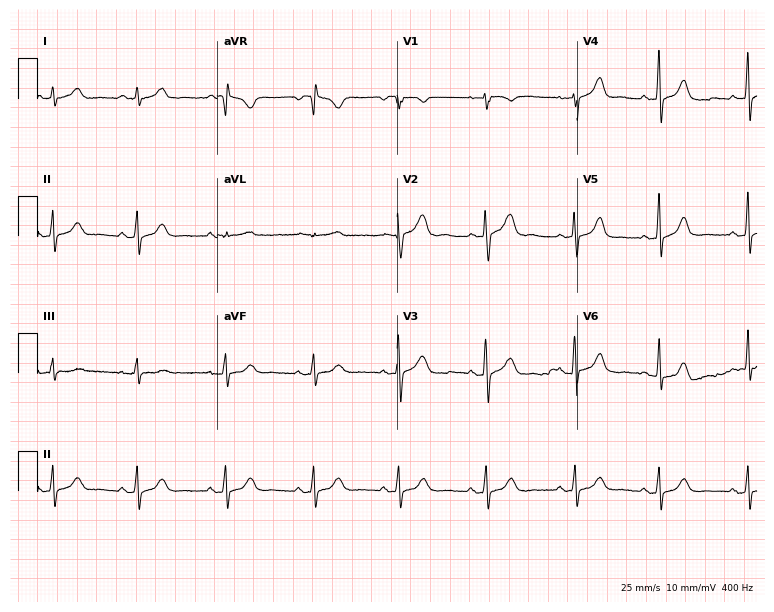
ECG (7.3-second recording at 400 Hz) — a 32-year-old woman. Labelled as a normal ECG.